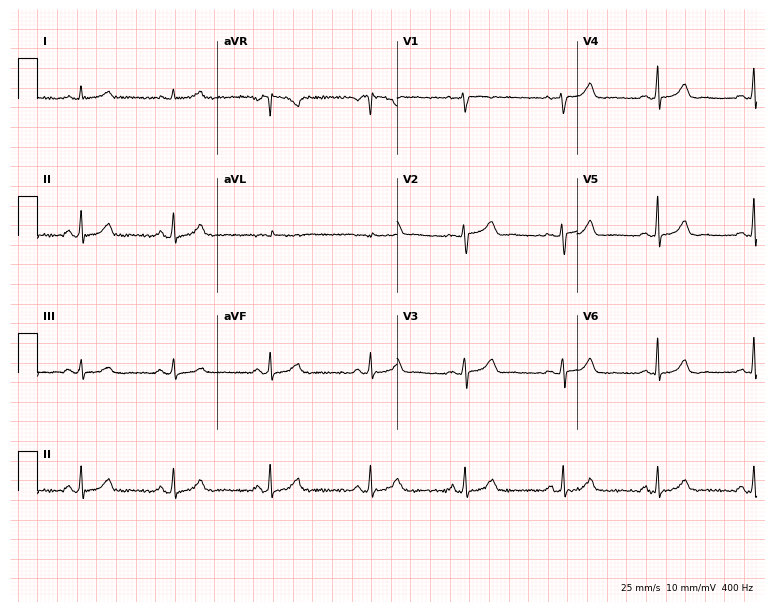
12-lead ECG from a woman, 44 years old. Screened for six findings — first-degree AV block, right bundle branch block, left bundle branch block, sinus bradycardia, atrial fibrillation, sinus tachycardia — none is recorded.